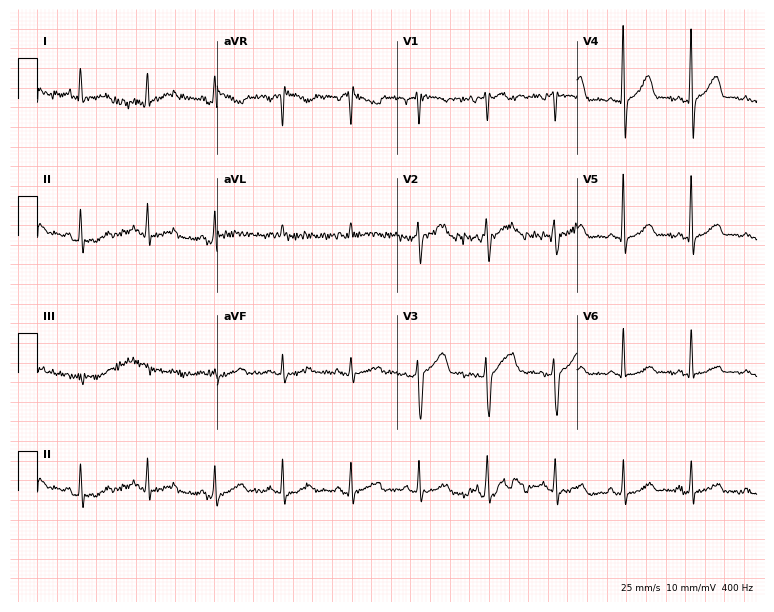
Electrocardiogram (7.3-second recording at 400 Hz), a woman, 57 years old. Of the six screened findings (first-degree AV block, right bundle branch block, left bundle branch block, sinus bradycardia, atrial fibrillation, sinus tachycardia), none is recorded.